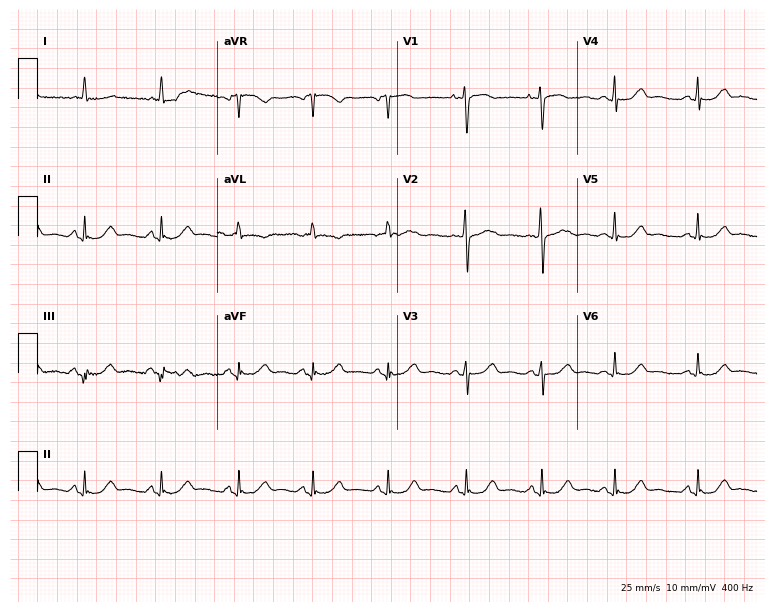
Electrocardiogram, a 57-year-old female patient. Overall reading on record: normal ECG.